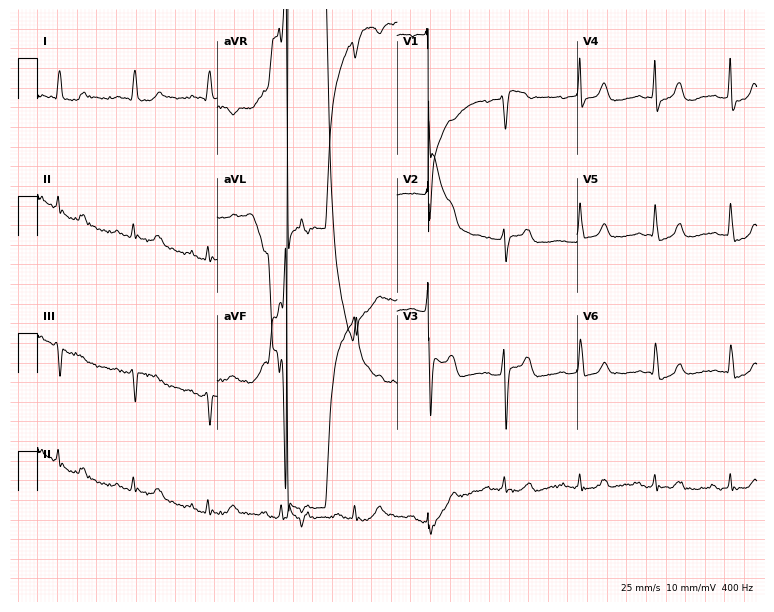
12-lead ECG from an 82-year-old female. No first-degree AV block, right bundle branch block, left bundle branch block, sinus bradycardia, atrial fibrillation or sinus tachycardia recorded for this tracing. Other findings, if any, are not listed.